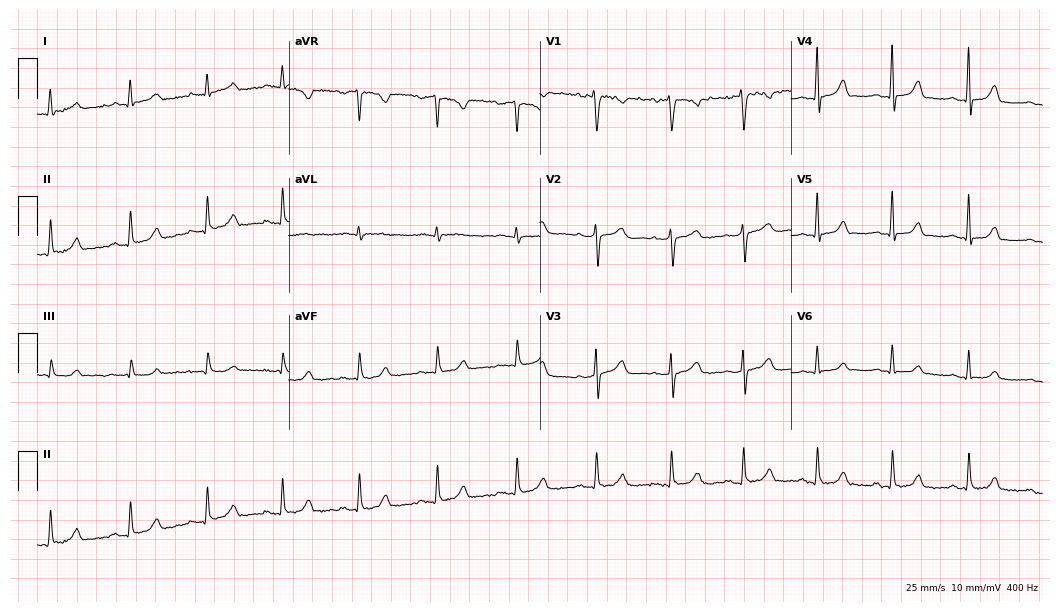
12-lead ECG from a 43-year-old female (10.2-second recording at 400 Hz). Recorded interpretation: within normal limits.